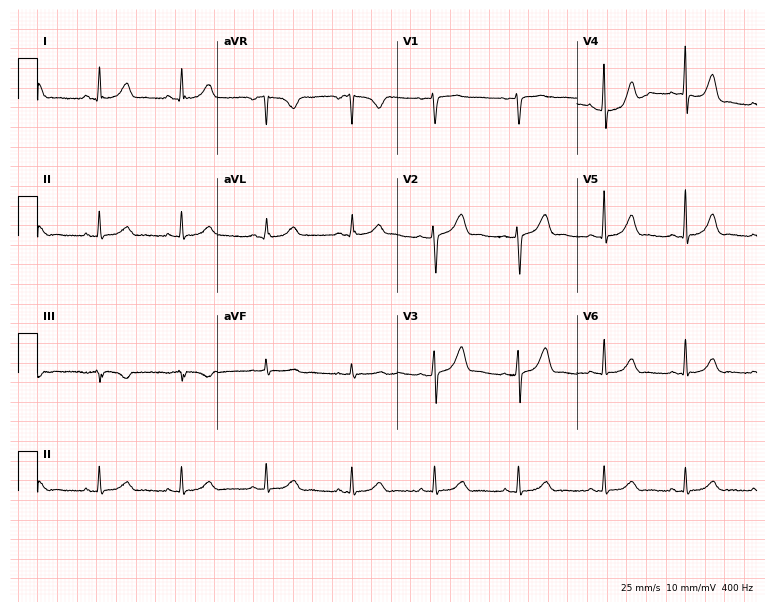
Resting 12-lead electrocardiogram. Patient: a 36-year-old female. Read as a normal ECG.